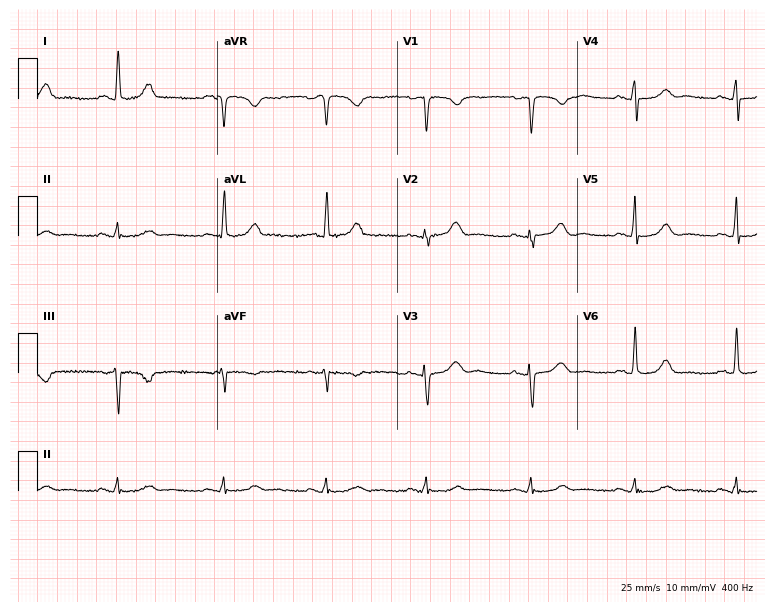
Electrocardiogram, a 55-year-old woman. Overall reading on record: normal ECG.